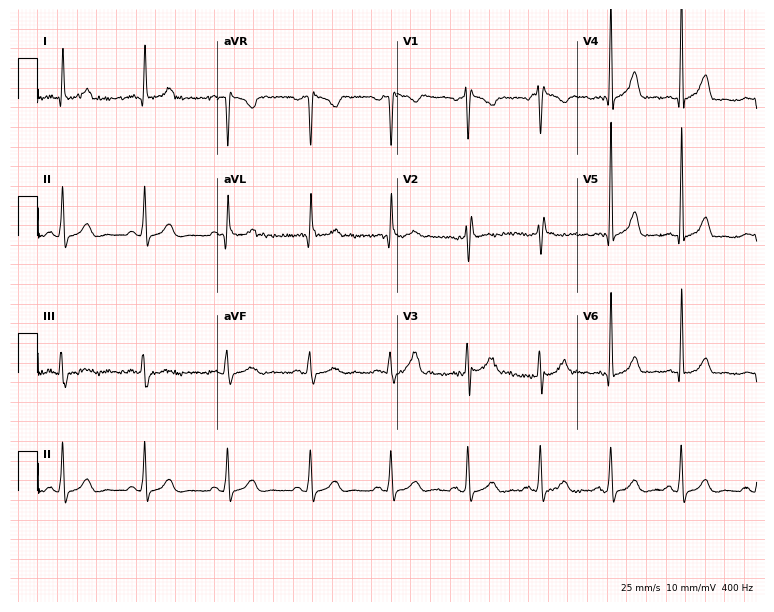
Standard 12-lead ECG recorded from a 46-year-old male (7.3-second recording at 400 Hz). Read as a normal ECG.